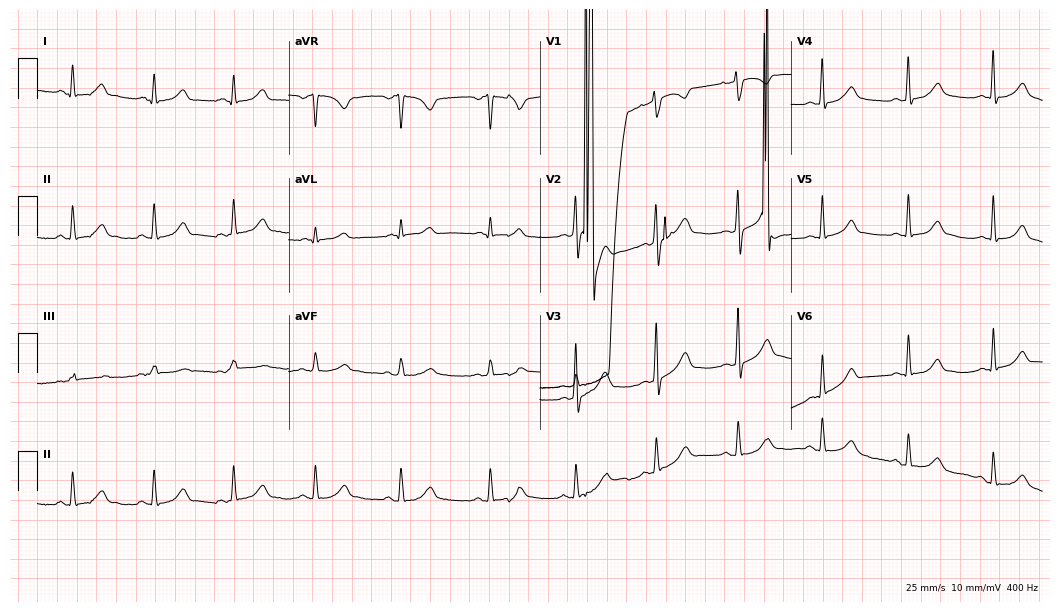
Electrocardiogram, a 35-year-old female patient. Overall reading on record: normal ECG.